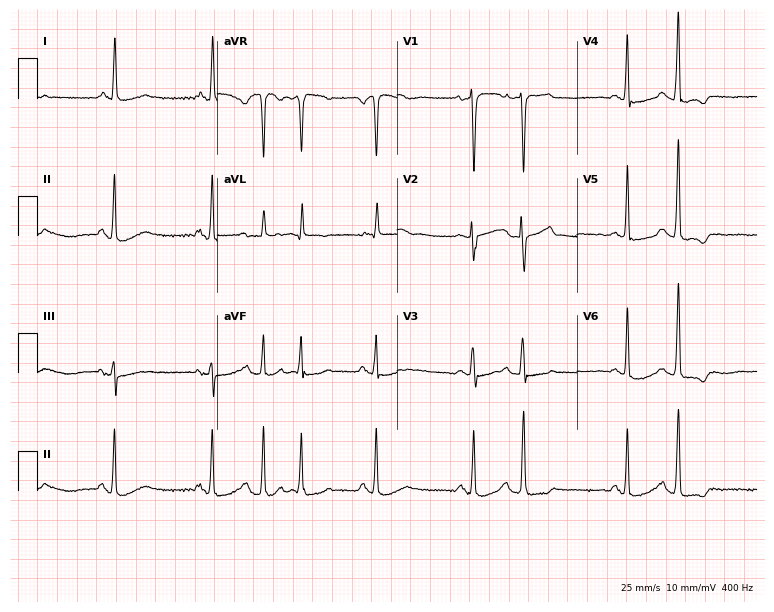
12-lead ECG from a female, 53 years old. No first-degree AV block, right bundle branch block, left bundle branch block, sinus bradycardia, atrial fibrillation or sinus tachycardia recorded for this tracing. Findings outside these six are not listed.